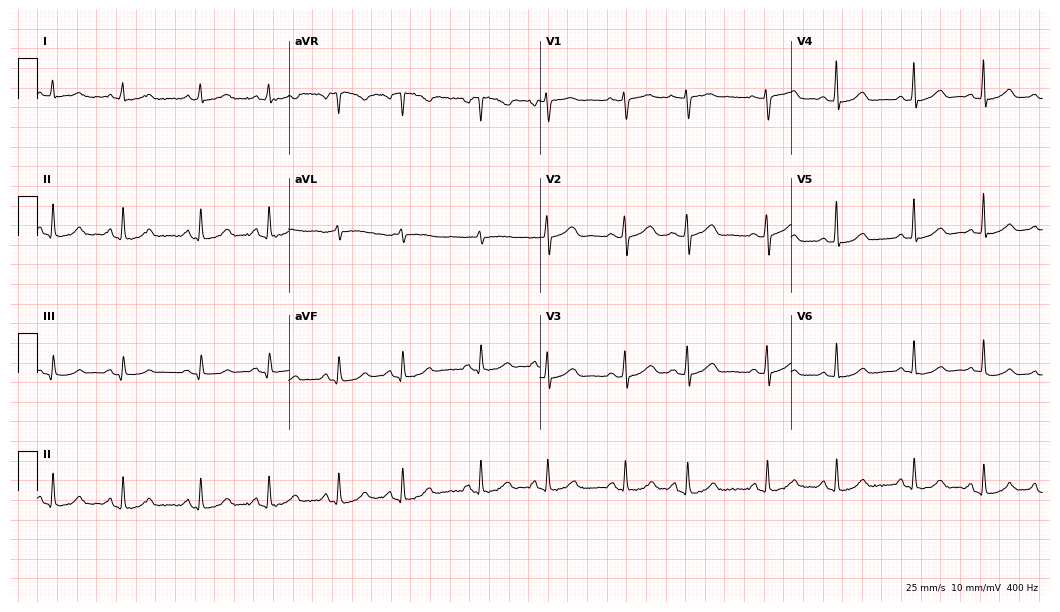
ECG — a female patient, 63 years old. Labelled as a normal ECG.